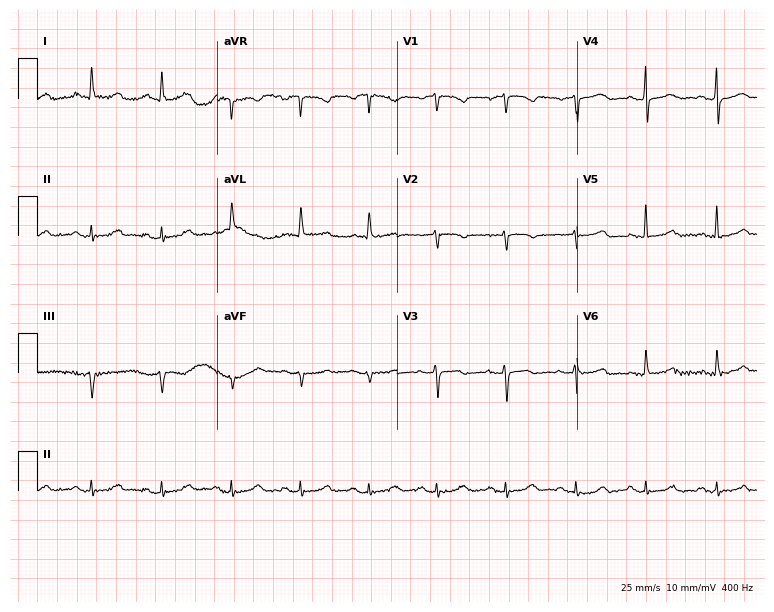
Standard 12-lead ECG recorded from a 70-year-old female (7.3-second recording at 400 Hz). Read as a normal ECG.